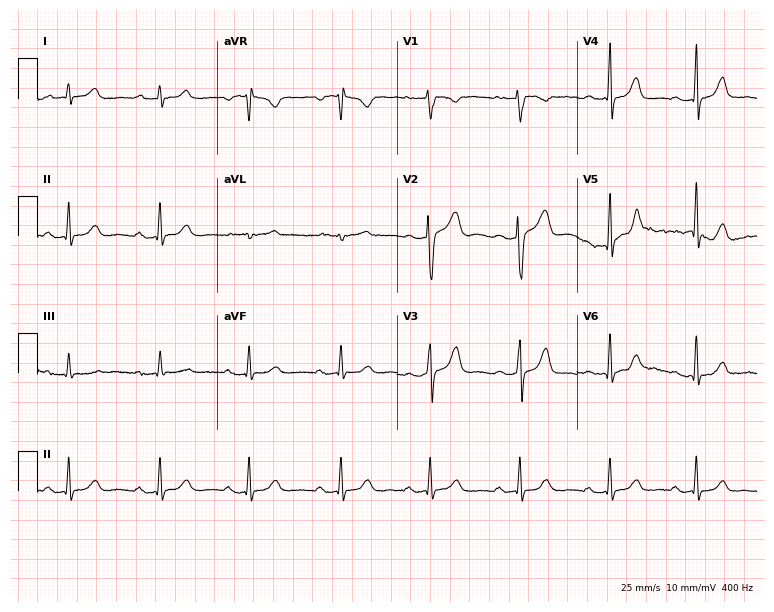
12-lead ECG (7.3-second recording at 400 Hz) from a female, 33 years old. Findings include first-degree AV block.